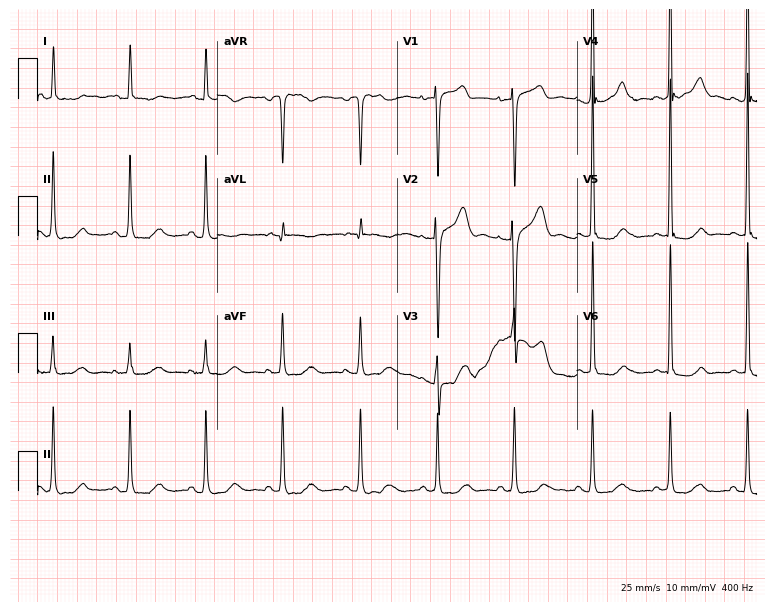
Electrocardiogram, a 65-year-old woman. Of the six screened findings (first-degree AV block, right bundle branch block (RBBB), left bundle branch block (LBBB), sinus bradycardia, atrial fibrillation (AF), sinus tachycardia), none is recorded. Other findings, if any, are not listed.